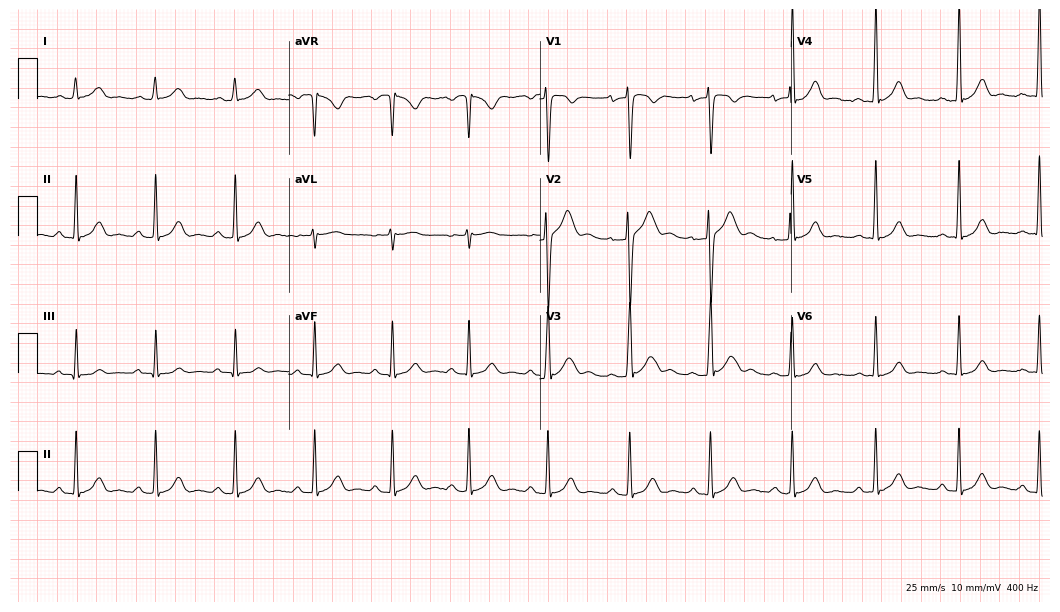
Standard 12-lead ECG recorded from a man, 22 years old. Read as a normal ECG.